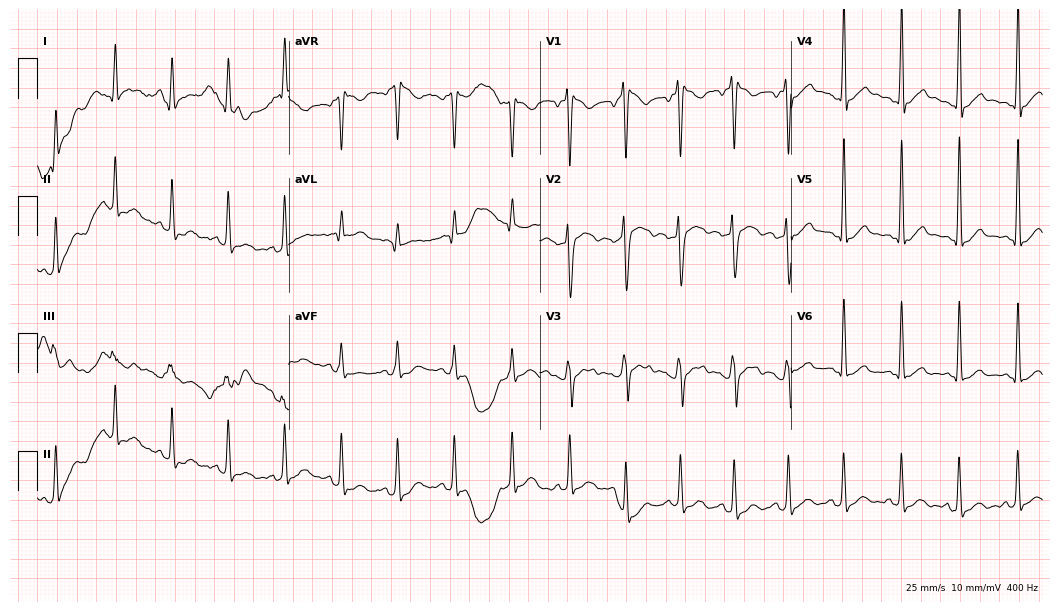
ECG — a 24-year-old male patient. Findings include sinus tachycardia (a sinus rate of 100 beats per minute or more).